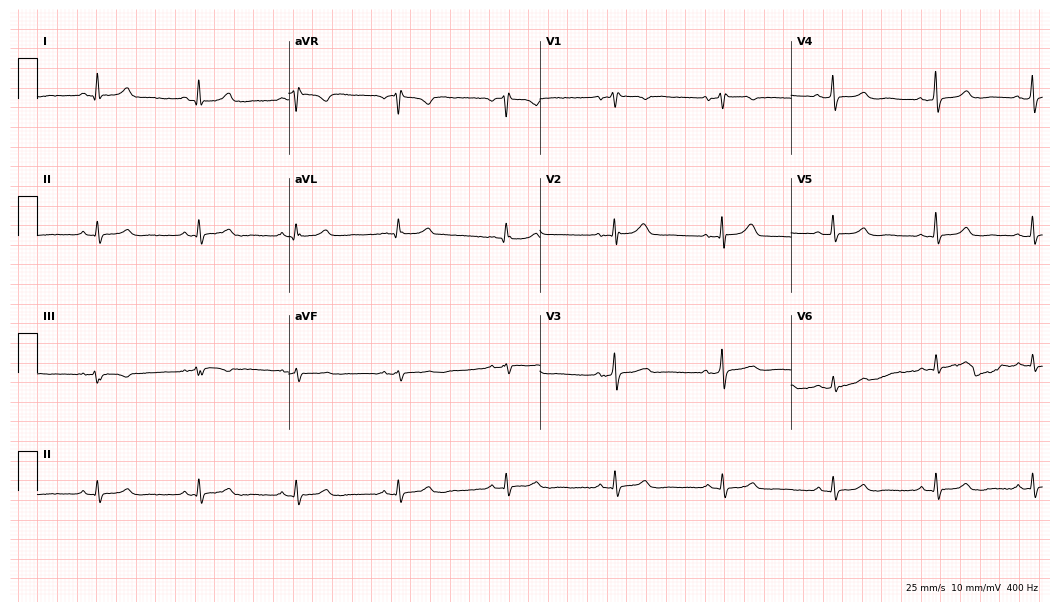
Electrocardiogram (10.2-second recording at 400 Hz), a woman, 54 years old. Overall reading on record: normal ECG.